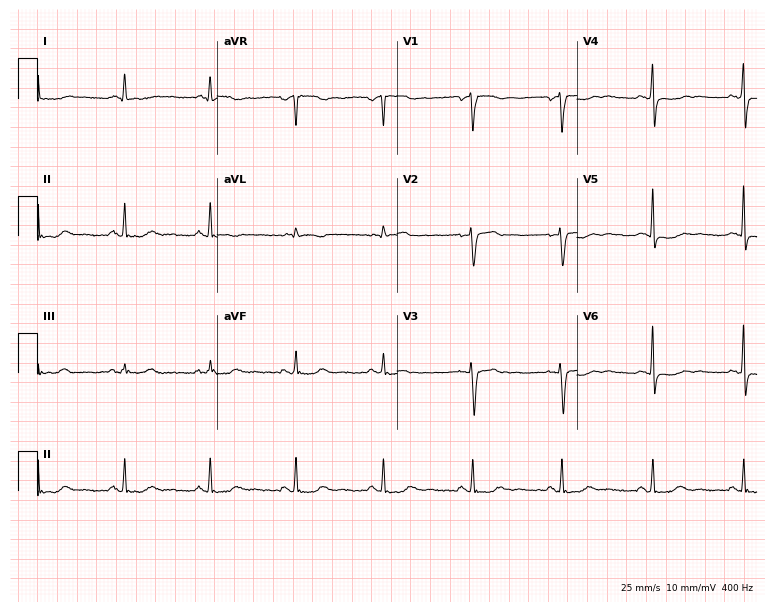
12-lead ECG from a female patient, 53 years old. Screened for six findings — first-degree AV block, right bundle branch block, left bundle branch block, sinus bradycardia, atrial fibrillation, sinus tachycardia — none is recorded. Only these six findings were labelled.